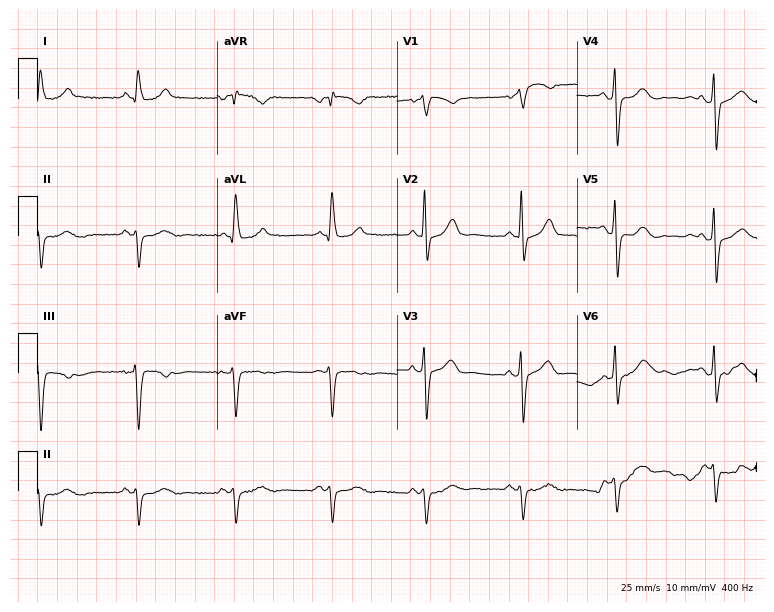
ECG (7.3-second recording at 400 Hz) — a 58-year-old woman. Screened for six findings — first-degree AV block, right bundle branch block, left bundle branch block, sinus bradycardia, atrial fibrillation, sinus tachycardia — none is recorded.